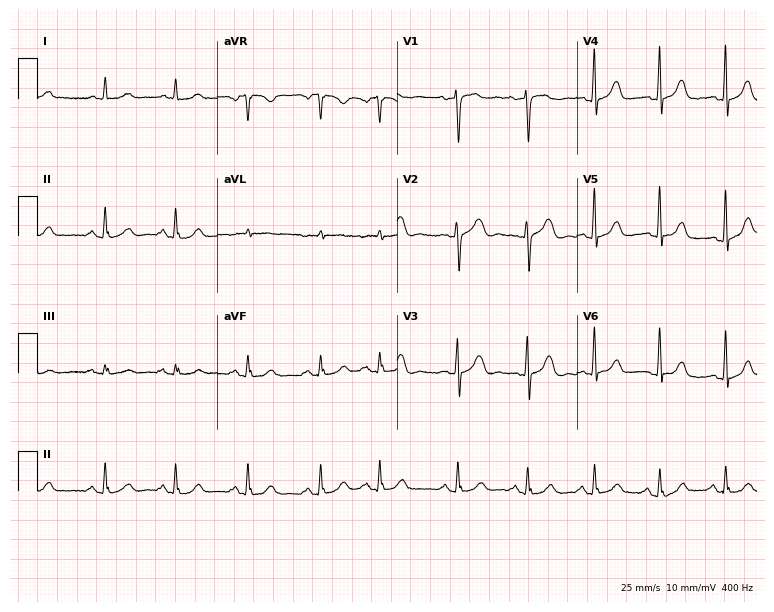
12-lead ECG from a 70-year-old woman. Screened for six findings — first-degree AV block, right bundle branch block, left bundle branch block, sinus bradycardia, atrial fibrillation, sinus tachycardia — none is recorded.